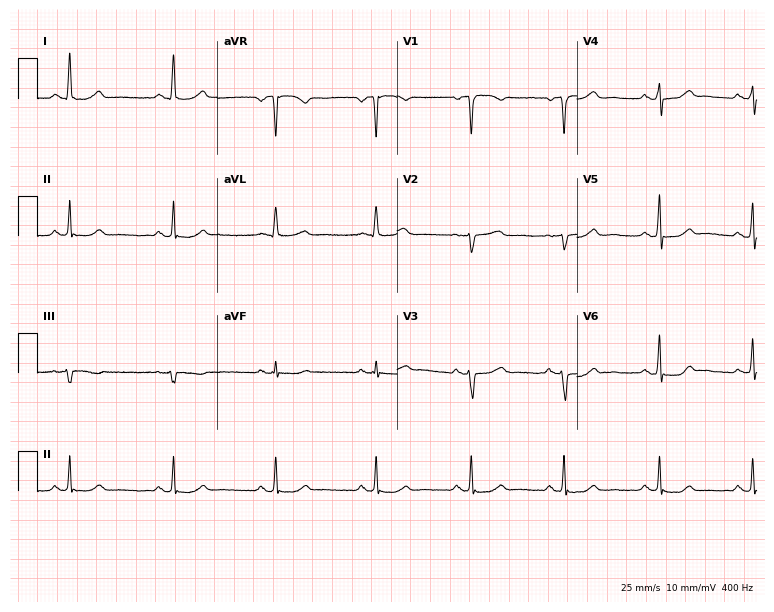
12-lead ECG from a female, 59 years old. Screened for six findings — first-degree AV block, right bundle branch block, left bundle branch block, sinus bradycardia, atrial fibrillation, sinus tachycardia — none is recorded.